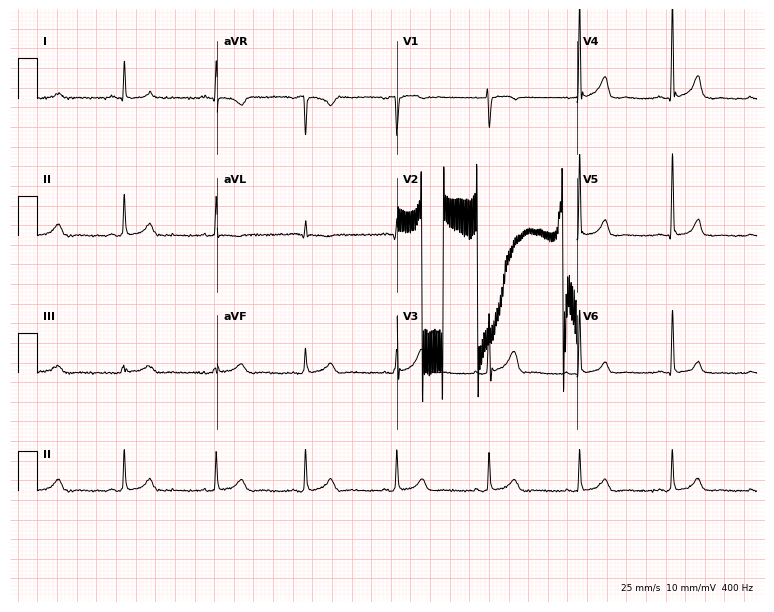
12-lead ECG (7.3-second recording at 400 Hz) from an 80-year-old woman. Labelled as a normal ECG.